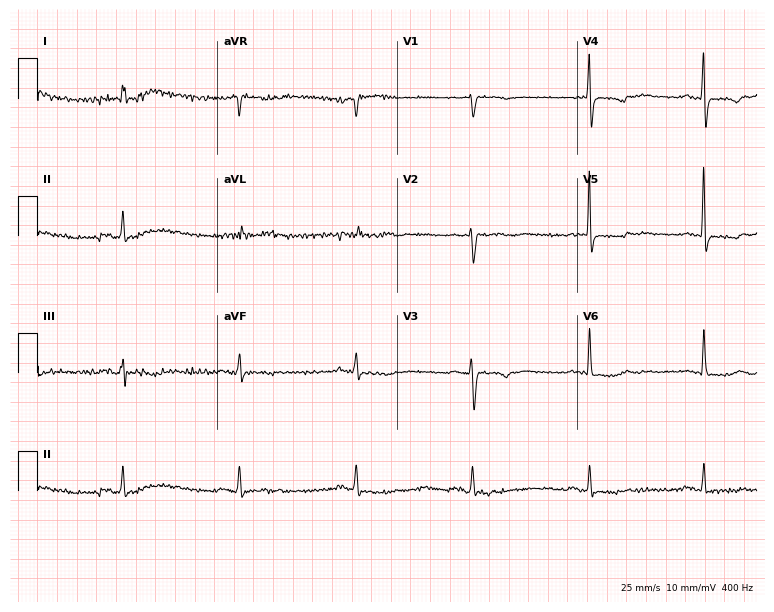
Electrocardiogram, a female patient, 77 years old. Of the six screened findings (first-degree AV block, right bundle branch block (RBBB), left bundle branch block (LBBB), sinus bradycardia, atrial fibrillation (AF), sinus tachycardia), none is recorded.